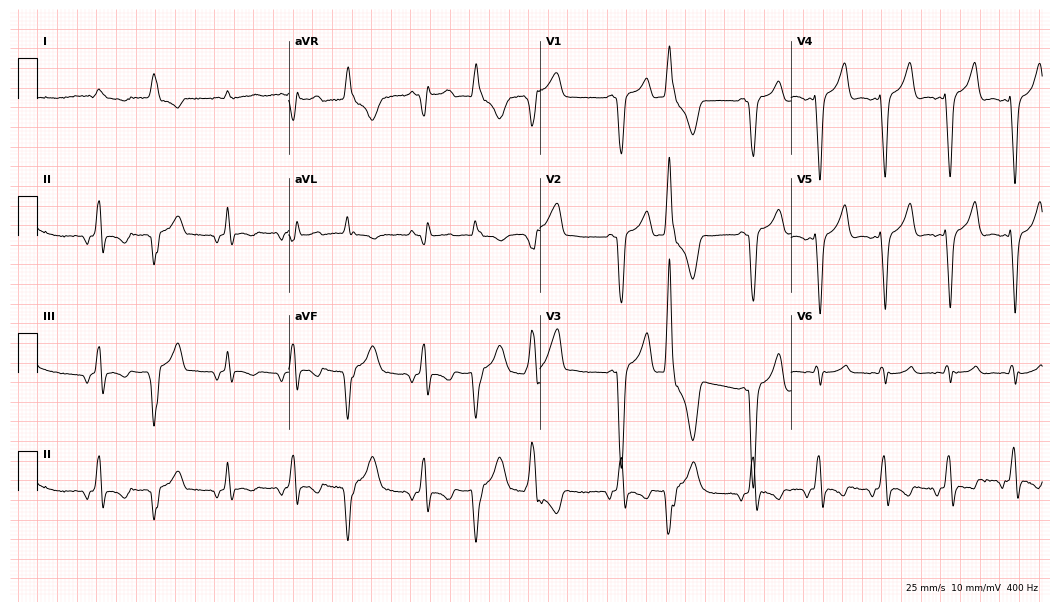
12-lead ECG from a 73-year-old man. Findings include left bundle branch block.